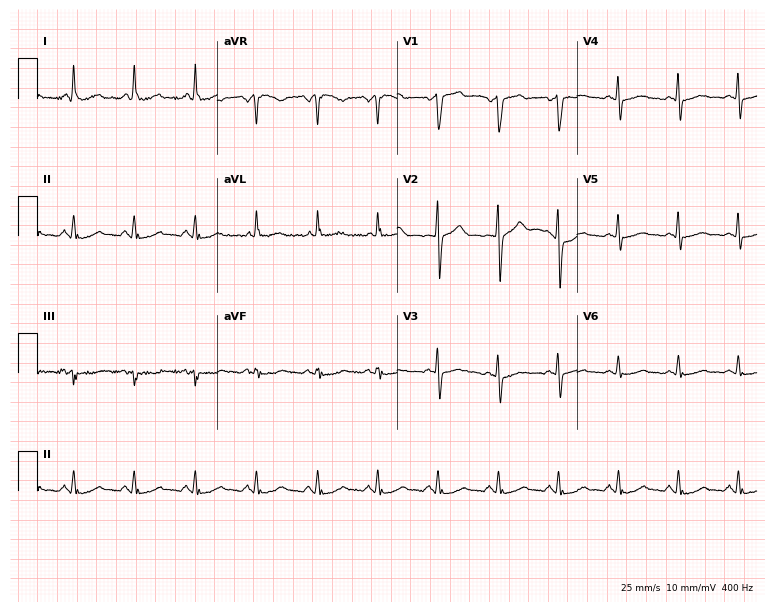
ECG — a 44-year-old woman. Screened for six findings — first-degree AV block, right bundle branch block, left bundle branch block, sinus bradycardia, atrial fibrillation, sinus tachycardia — none is recorded.